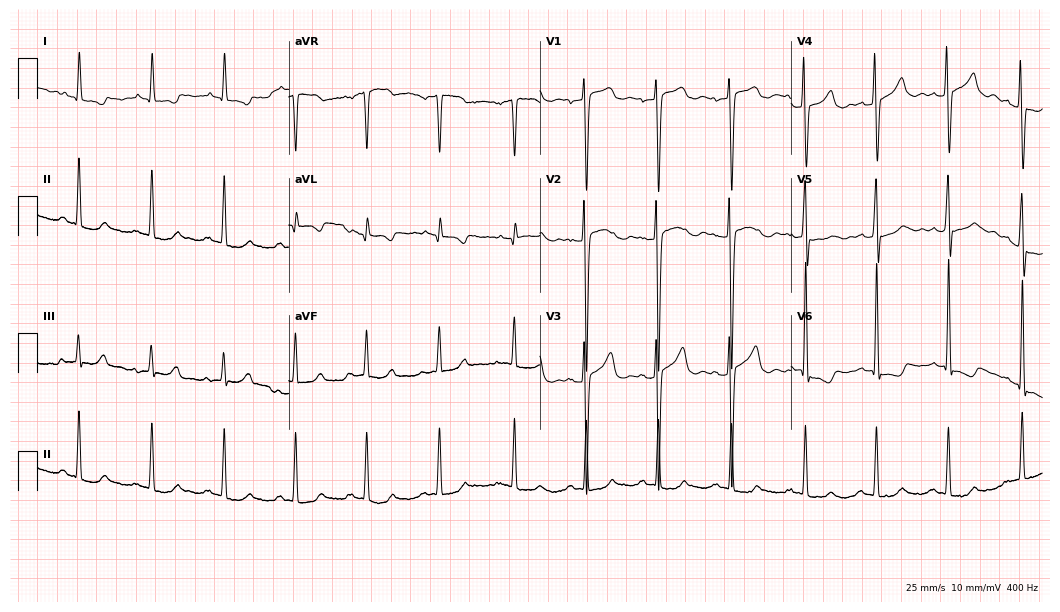
Electrocardiogram (10.2-second recording at 400 Hz), a woman, 18 years old. Of the six screened findings (first-degree AV block, right bundle branch block, left bundle branch block, sinus bradycardia, atrial fibrillation, sinus tachycardia), none is recorded.